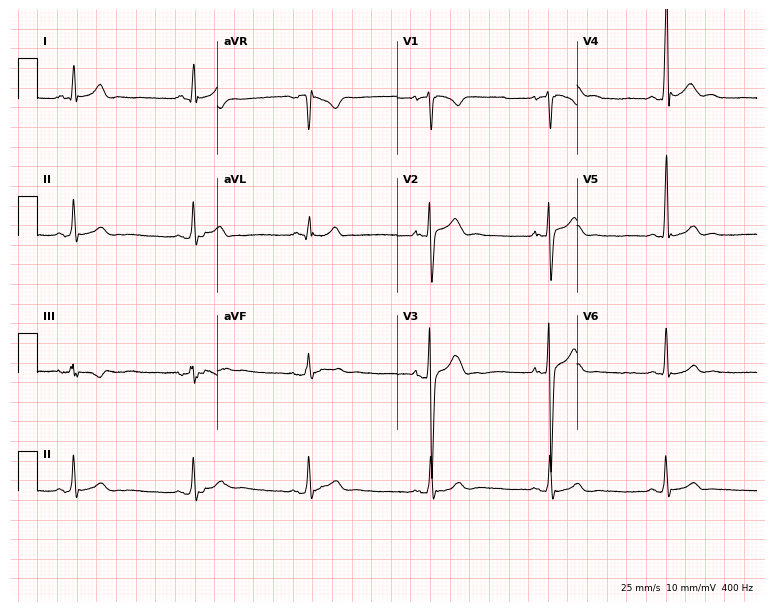
Resting 12-lead electrocardiogram (7.3-second recording at 400 Hz). Patient: a man, 25 years old. Read as a normal ECG.